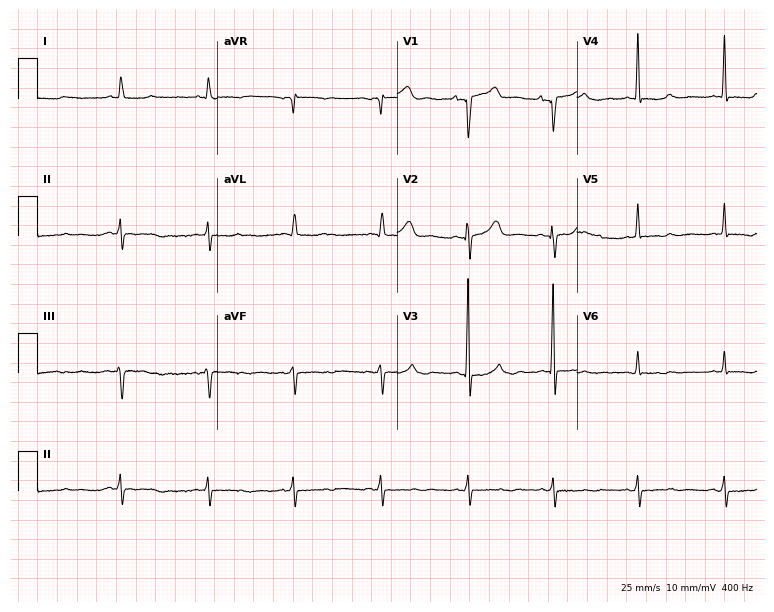
12-lead ECG (7.3-second recording at 400 Hz) from a woman, 54 years old. Screened for six findings — first-degree AV block, right bundle branch block (RBBB), left bundle branch block (LBBB), sinus bradycardia, atrial fibrillation (AF), sinus tachycardia — none is recorded. Findings outside these six are not listed.